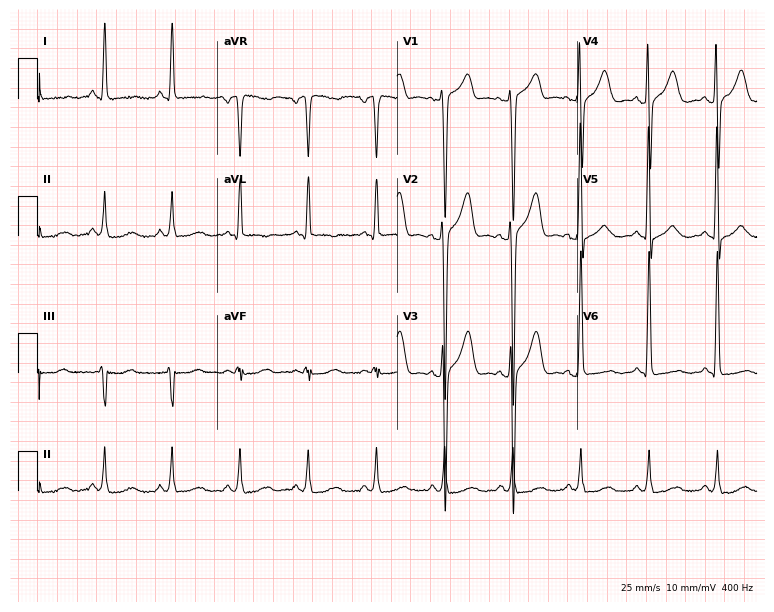
ECG — a male, 45 years old. Labelled as a normal ECG.